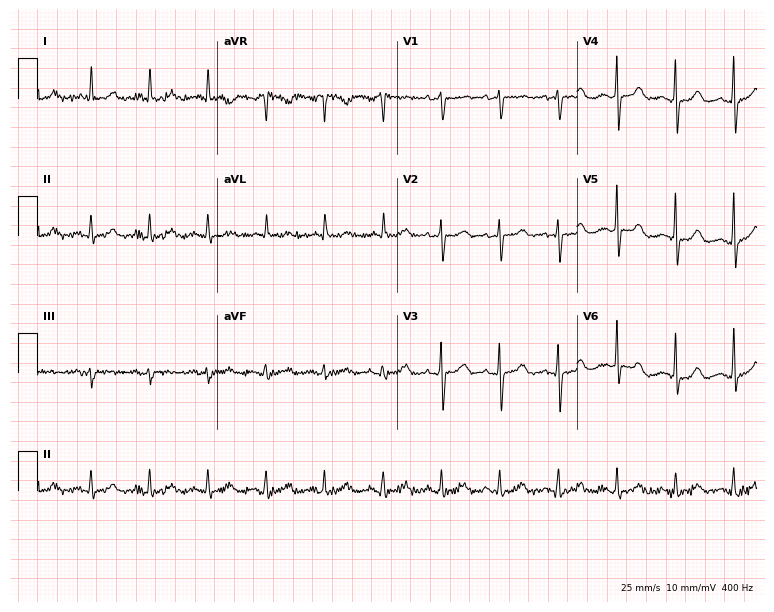
Resting 12-lead electrocardiogram (7.3-second recording at 400 Hz). Patient: a 67-year-old female. The tracing shows sinus tachycardia (a sinus rate of 100 beats per minute or more).